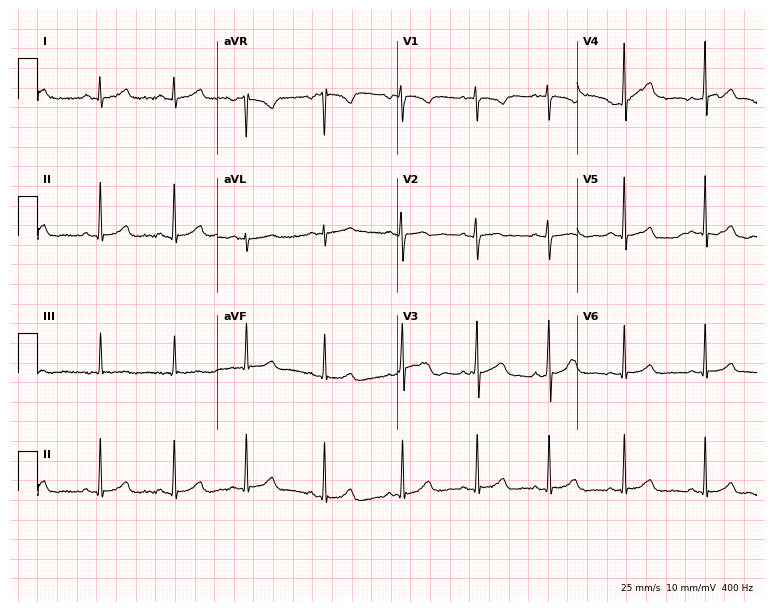
Standard 12-lead ECG recorded from a 20-year-old female. Read as a normal ECG.